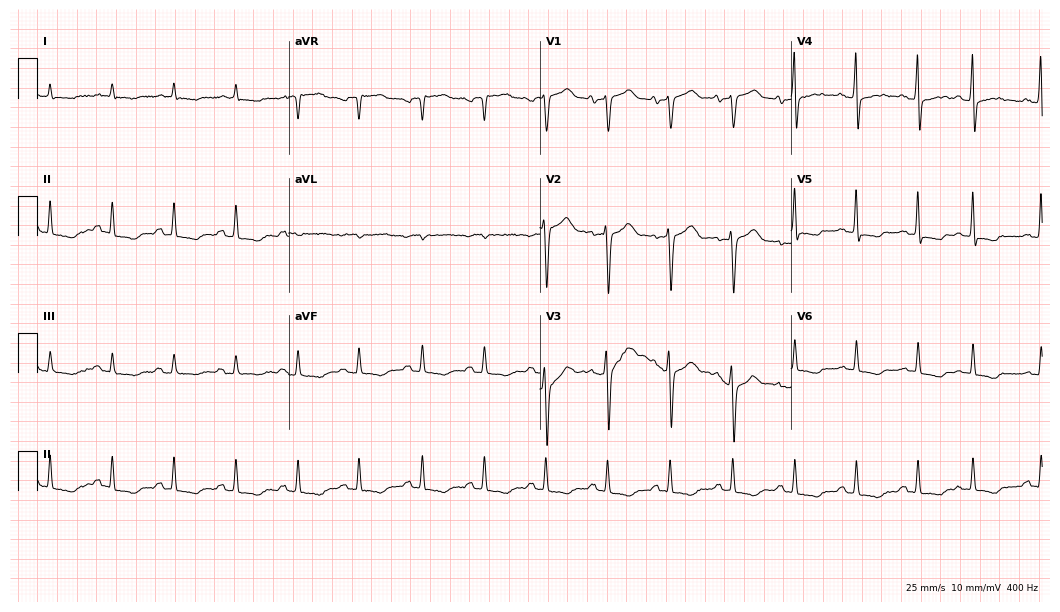
Standard 12-lead ECG recorded from a male patient, 76 years old (10.2-second recording at 400 Hz). None of these six findings is recorded: first-degree AV block, right bundle branch block (RBBB), left bundle branch block (LBBB), sinus bradycardia, atrial fibrillation (AF), sinus tachycardia.